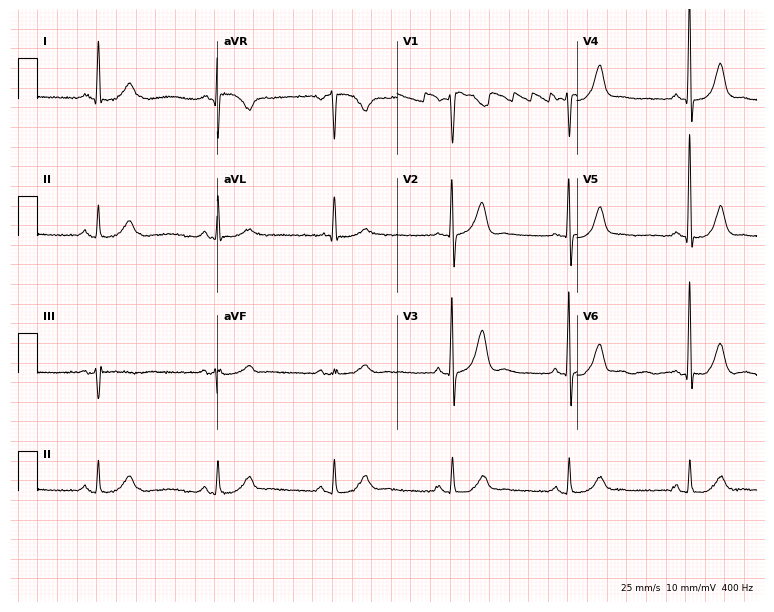
ECG — a man, 81 years old. Findings include sinus bradycardia (a sinus rate of 50 beats per minute or less).